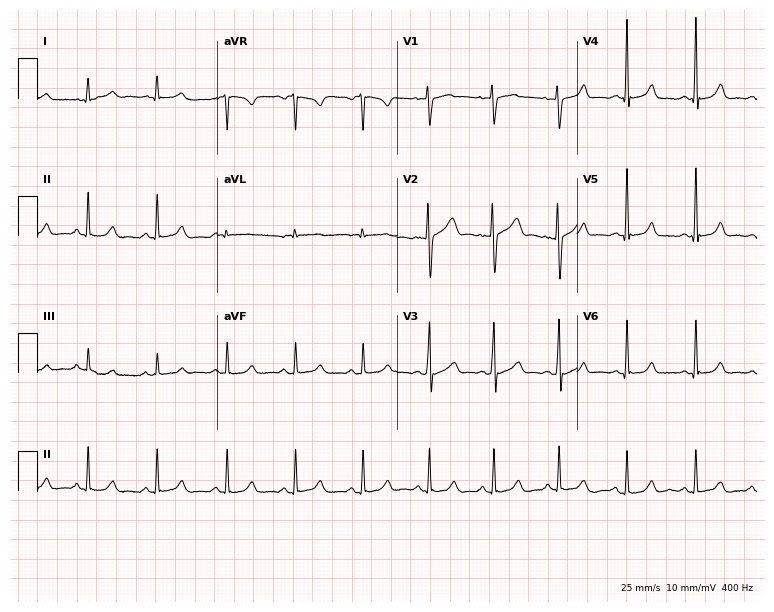
Standard 12-lead ECG recorded from a woman, 31 years old. None of these six findings is recorded: first-degree AV block, right bundle branch block, left bundle branch block, sinus bradycardia, atrial fibrillation, sinus tachycardia.